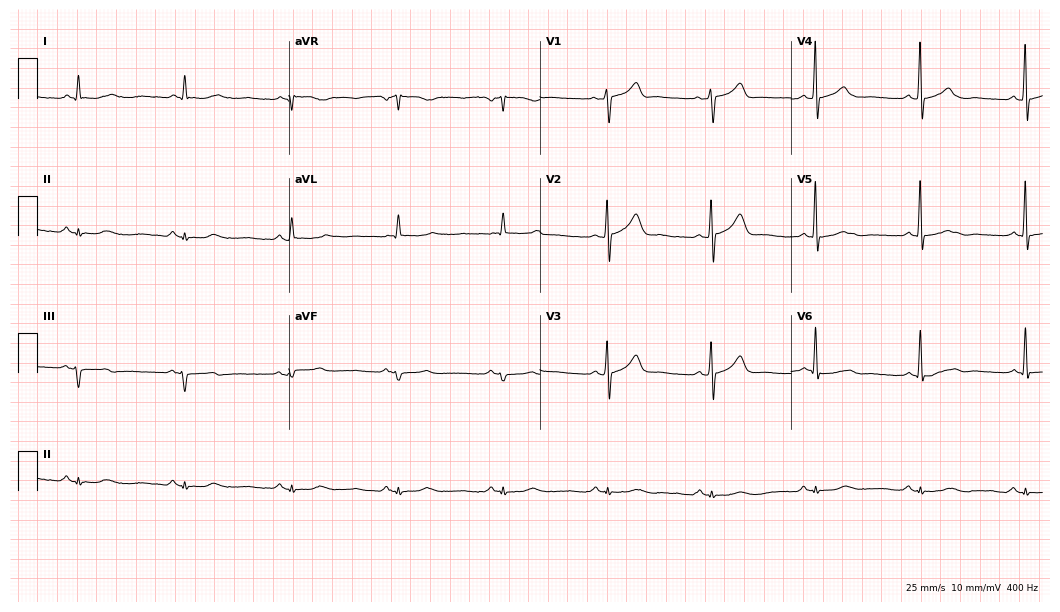
Electrocardiogram (10.2-second recording at 400 Hz), a male patient, 79 years old. Of the six screened findings (first-degree AV block, right bundle branch block, left bundle branch block, sinus bradycardia, atrial fibrillation, sinus tachycardia), none is recorded.